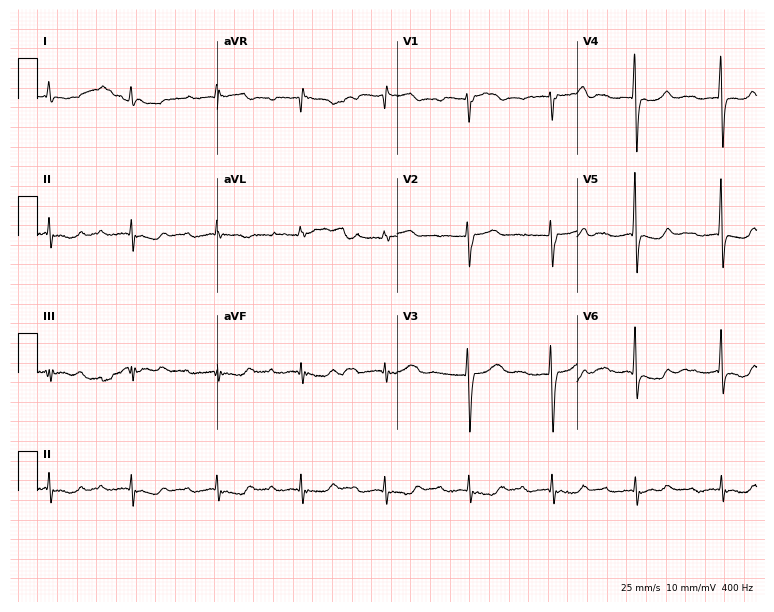
Resting 12-lead electrocardiogram. Patient: an 84-year-old male. The tracing shows first-degree AV block.